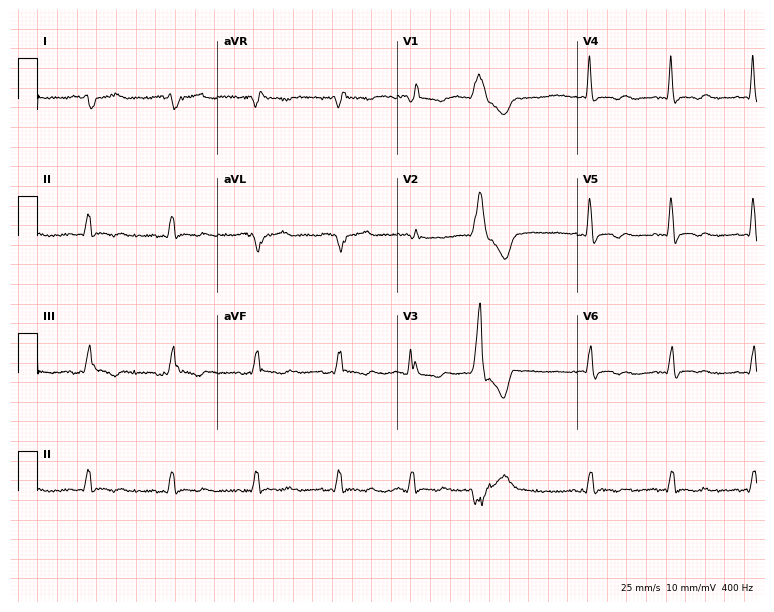
Resting 12-lead electrocardiogram (7.3-second recording at 400 Hz). Patient: a woman, 51 years old. The tracing shows right bundle branch block.